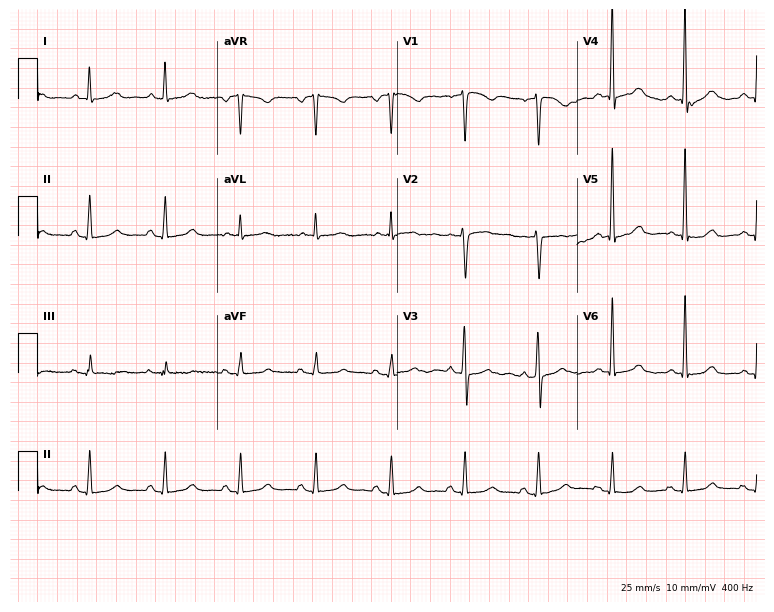
Resting 12-lead electrocardiogram (7.3-second recording at 400 Hz). Patient: a 49-year-old female. Read as a normal ECG.